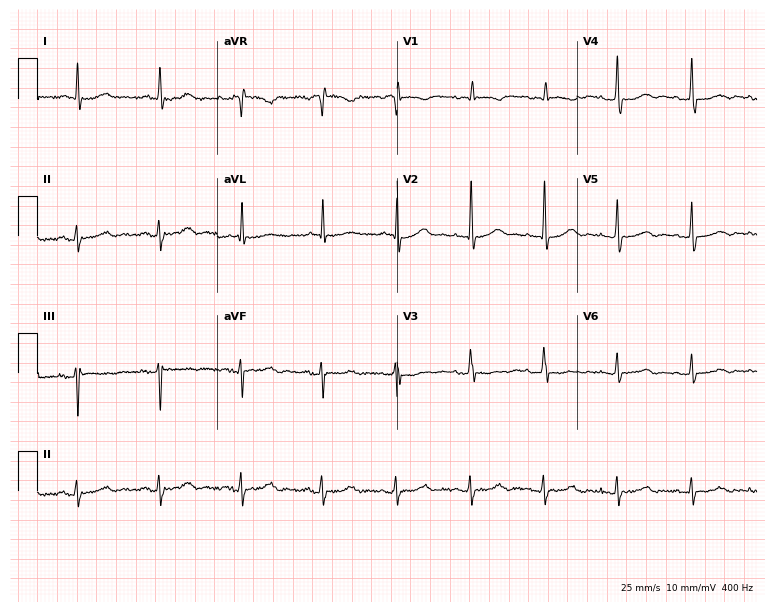
Electrocardiogram, a 79-year-old female patient. Of the six screened findings (first-degree AV block, right bundle branch block, left bundle branch block, sinus bradycardia, atrial fibrillation, sinus tachycardia), none is recorded. Only these six findings were labelled.